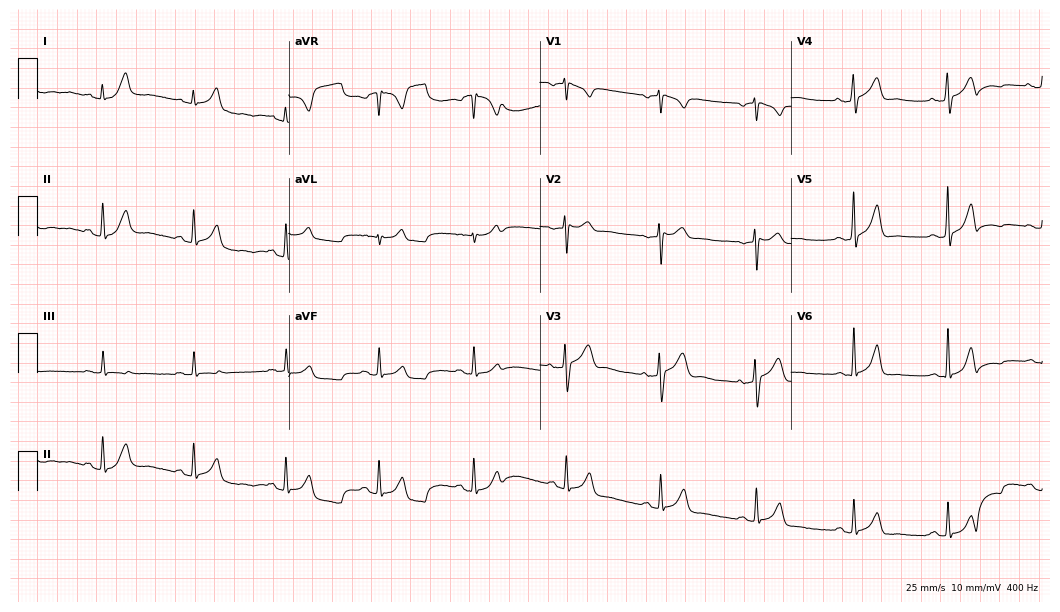
ECG — a 42-year-old man. Labelled as a normal ECG.